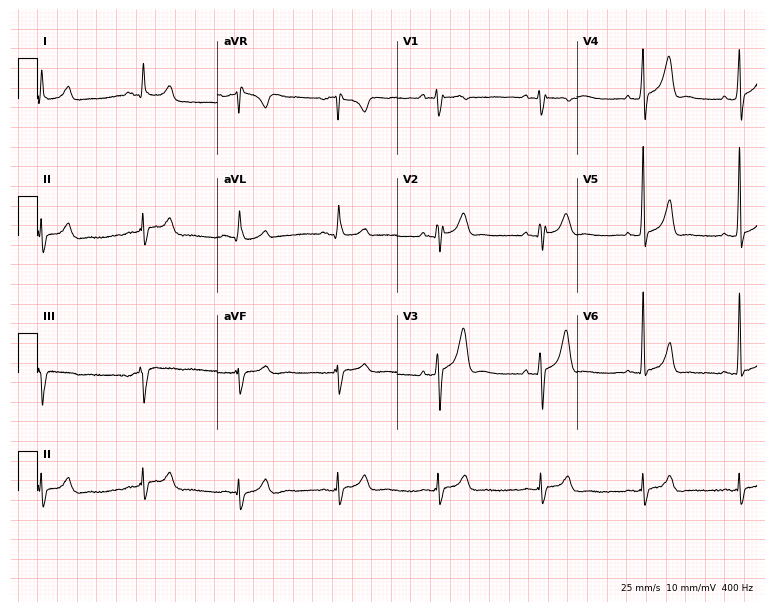
ECG — a male patient, 25 years old. Screened for six findings — first-degree AV block, right bundle branch block (RBBB), left bundle branch block (LBBB), sinus bradycardia, atrial fibrillation (AF), sinus tachycardia — none is recorded.